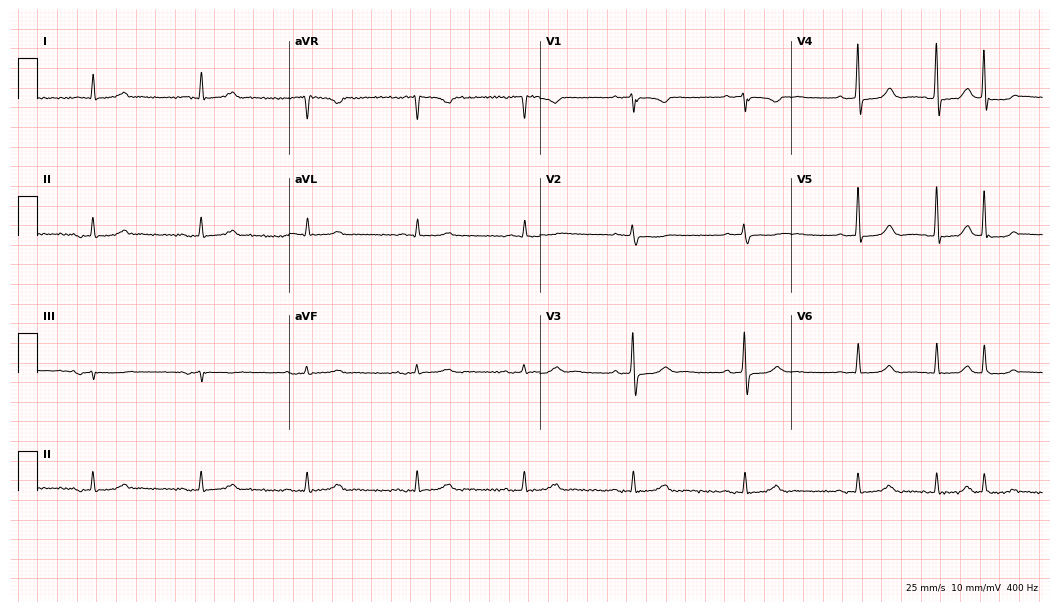
Electrocardiogram, an 83-year-old female. Overall reading on record: normal ECG.